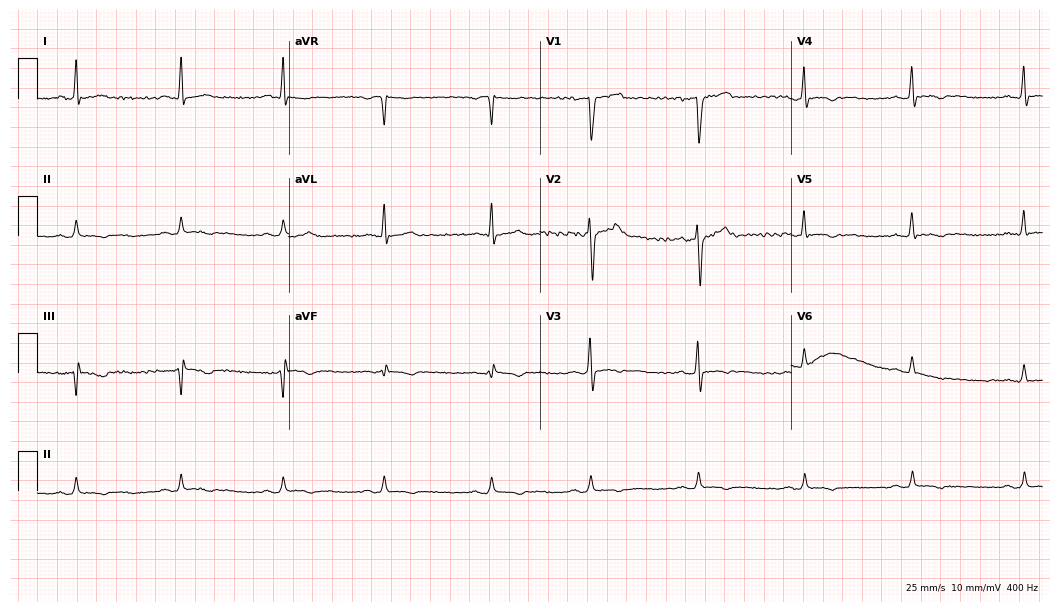
12-lead ECG from a male, 35 years old. No first-degree AV block, right bundle branch block, left bundle branch block, sinus bradycardia, atrial fibrillation or sinus tachycardia recorded for this tracing.